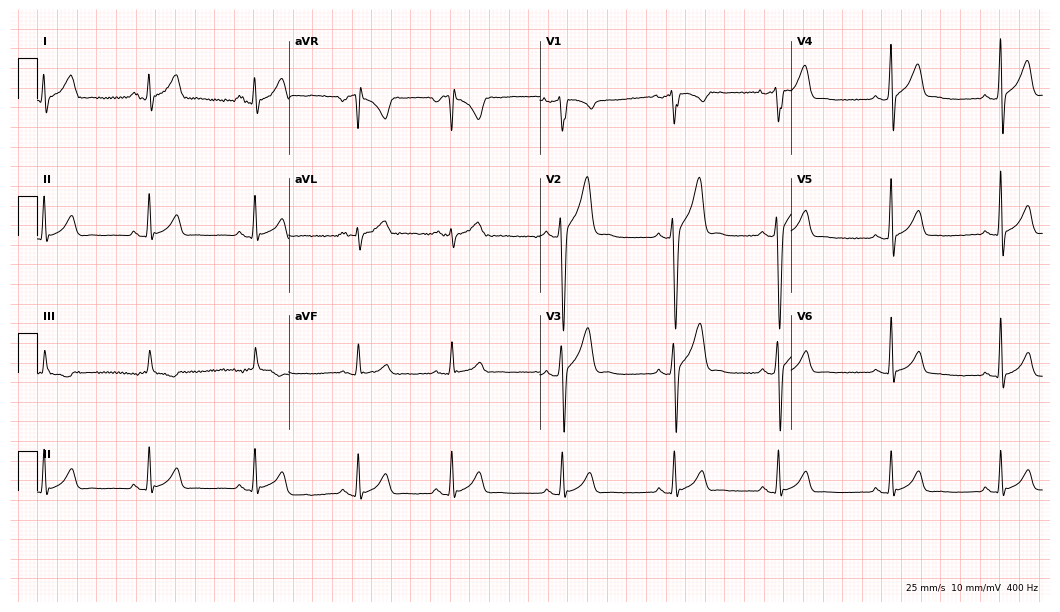
Standard 12-lead ECG recorded from a 21-year-old male. None of these six findings is recorded: first-degree AV block, right bundle branch block (RBBB), left bundle branch block (LBBB), sinus bradycardia, atrial fibrillation (AF), sinus tachycardia. Other findings, if any, are not listed.